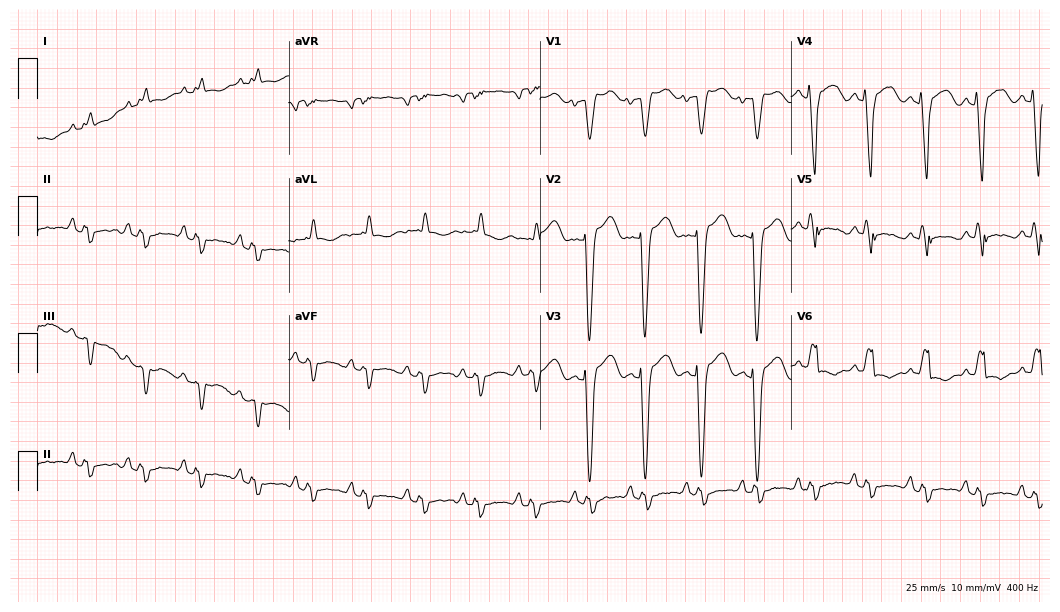
12-lead ECG from a 72-year-old woman. Findings include left bundle branch block (LBBB), sinus tachycardia (a sinus rate of 100 beats per minute or more).